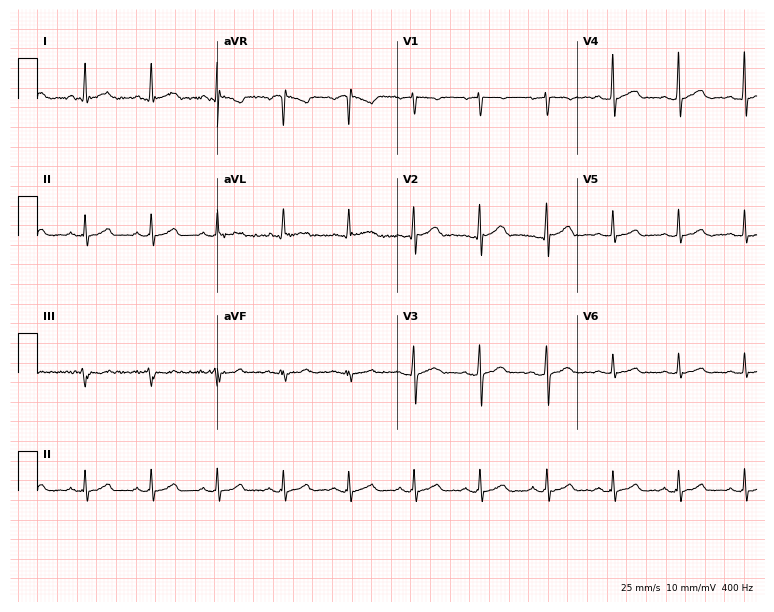
Electrocardiogram, a 48-year-old man. Overall reading on record: normal ECG.